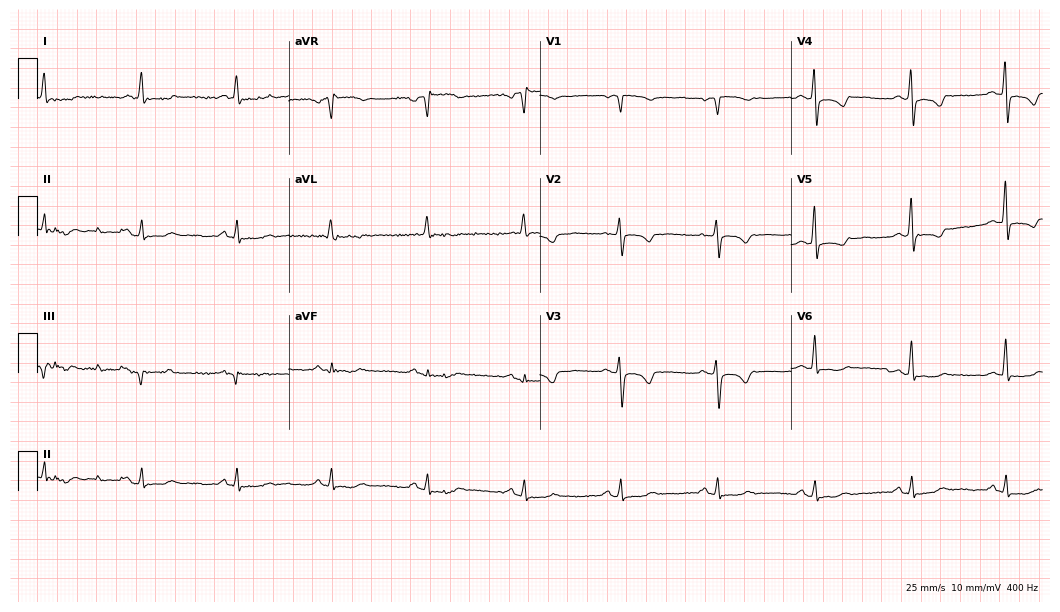
Standard 12-lead ECG recorded from a woman, 56 years old. None of these six findings is recorded: first-degree AV block, right bundle branch block, left bundle branch block, sinus bradycardia, atrial fibrillation, sinus tachycardia.